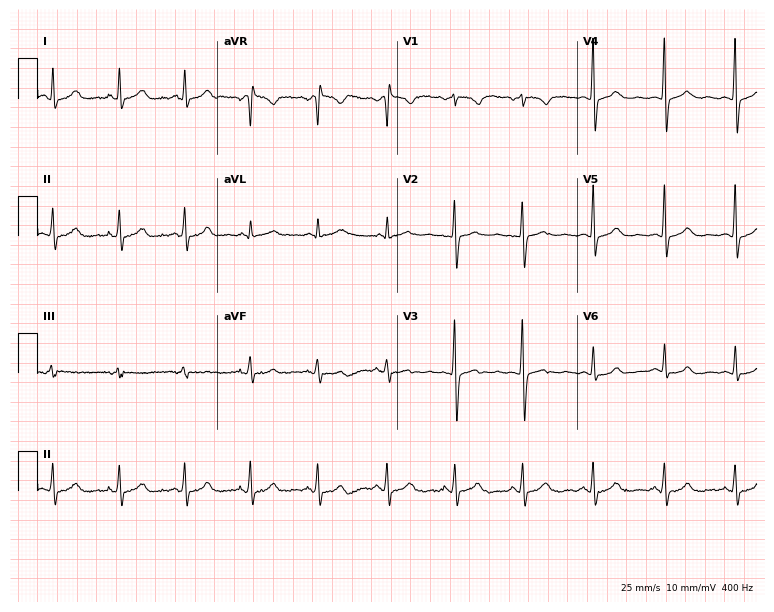
Electrocardiogram, a woman, 46 years old. Overall reading on record: normal ECG.